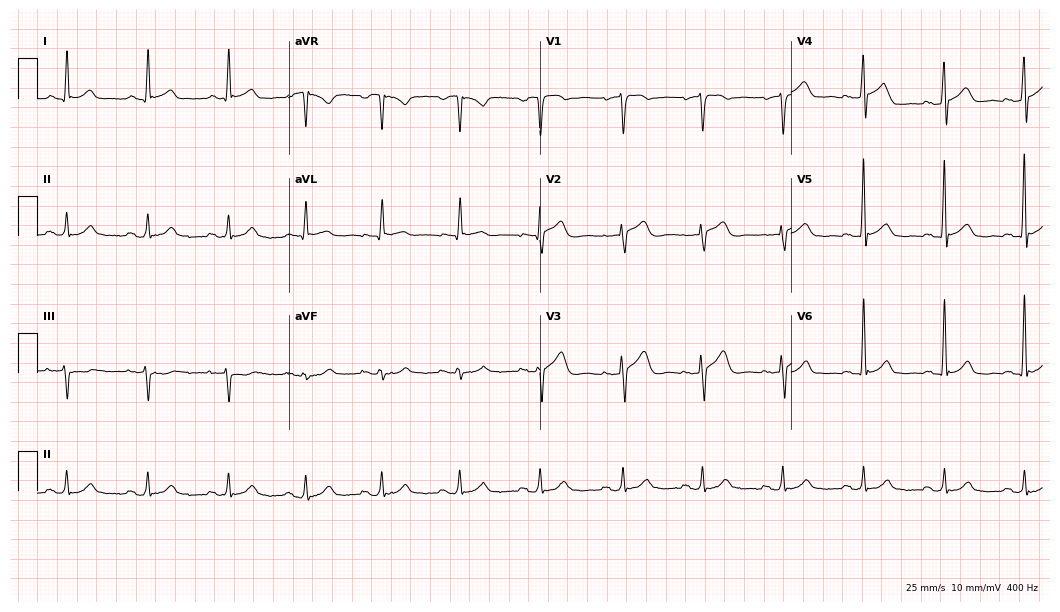
ECG — a male patient, 64 years old. Labelled as a normal ECG.